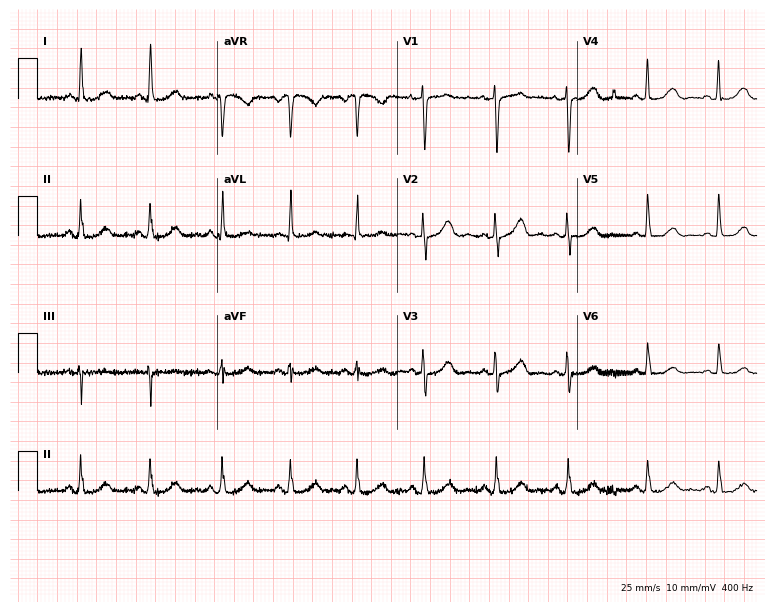
Standard 12-lead ECG recorded from a woman, 69 years old (7.3-second recording at 400 Hz). Read as a normal ECG.